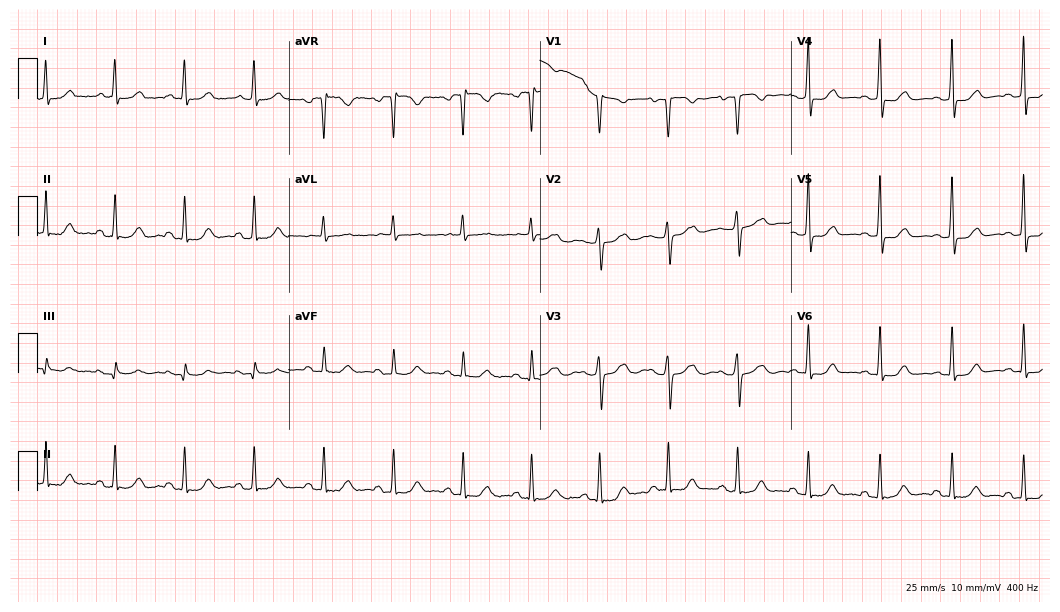
12-lead ECG (10.2-second recording at 400 Hz) from a 48-year-old woman. Screened for six findings — first-degree AV block, right bundle branch block, left bundle branch block, sinus bradycardia, atrial fibrillation, sinus tachycardia — none is recorded. Findings outside these six are not listed.